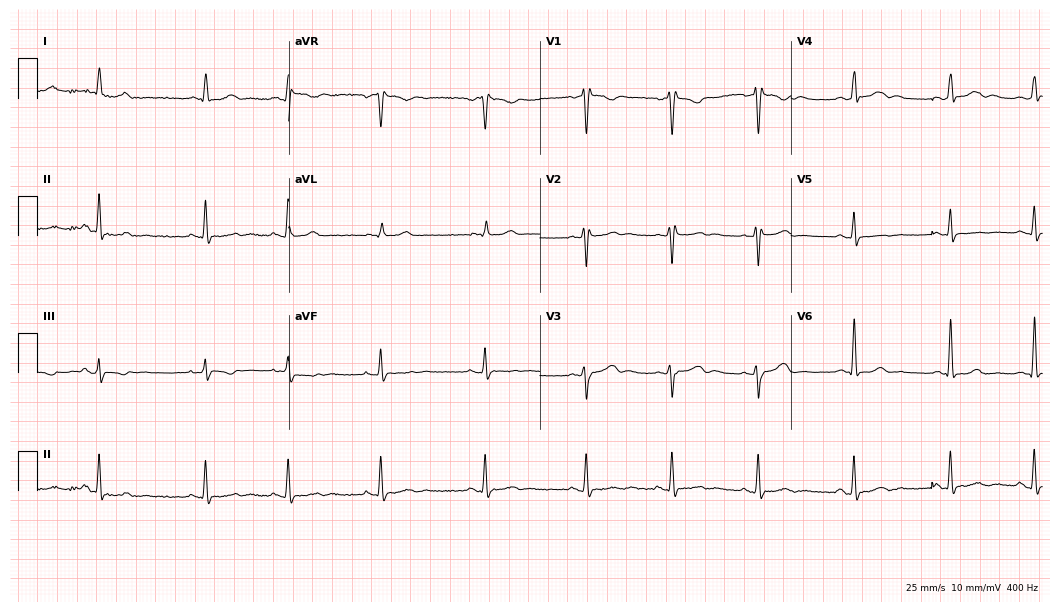
Electrocardiogram, a 27-year-old female patient. Of the six screened findings (first-degree AV block, right bundle branch block, left bundle branch block, sinus bradycardia, atrial fibrillation, sinus tachycardia), none is recorded. Only these six findings were labelled.